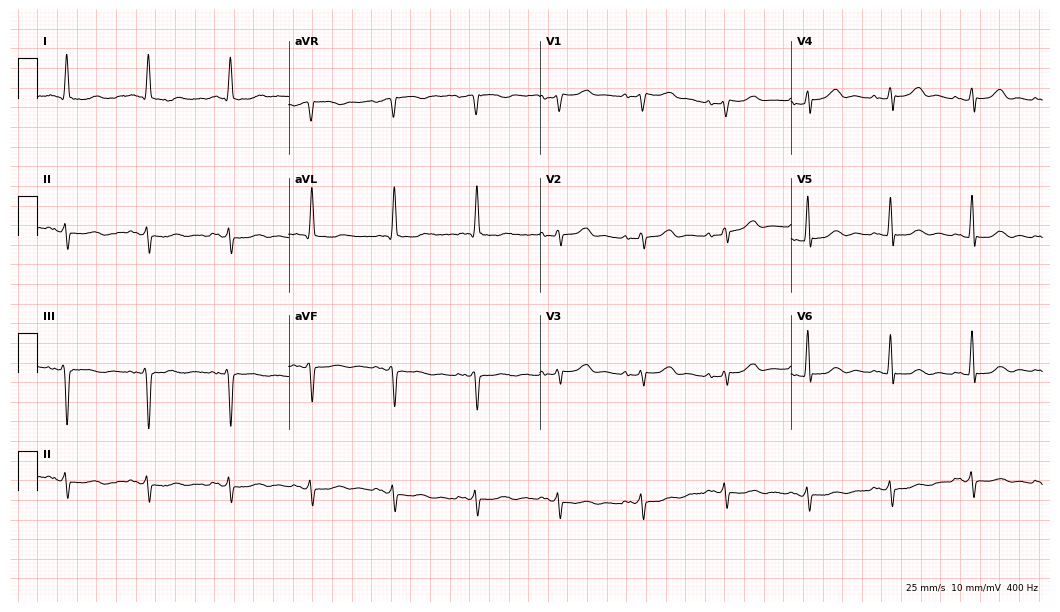
Standard 12-lead ECG recorded from a female patient, 81 years old. None of these six findings is recorded: first-degree AV block, right bundle branch block, left bundle branch block, sinus bradycardia, atrial fibrillation, sinus tachycardia.